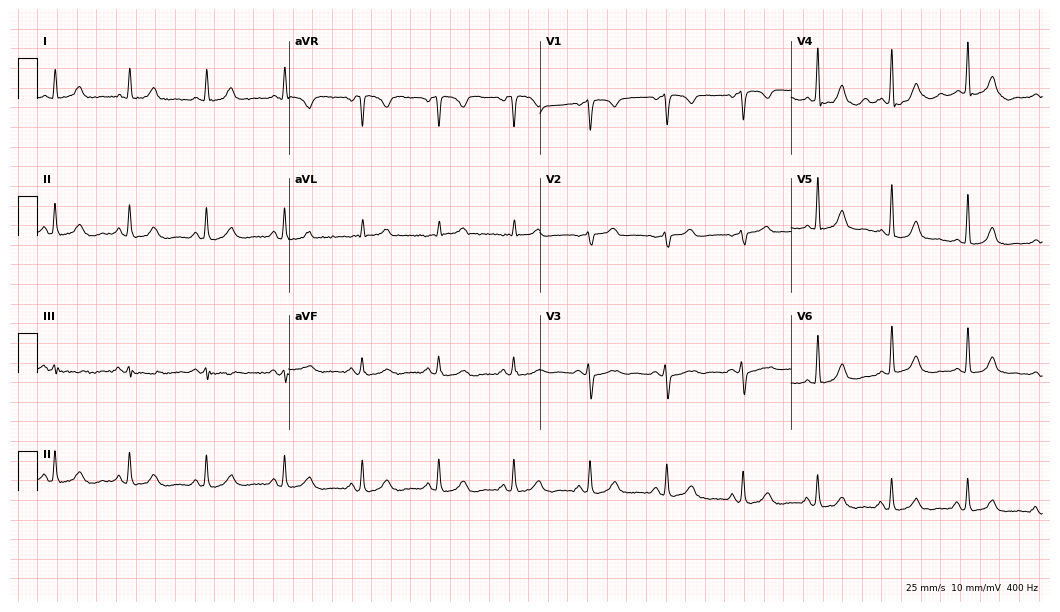
12-lead ECG from a 47-year-old female. Labelled as a normal ECG.